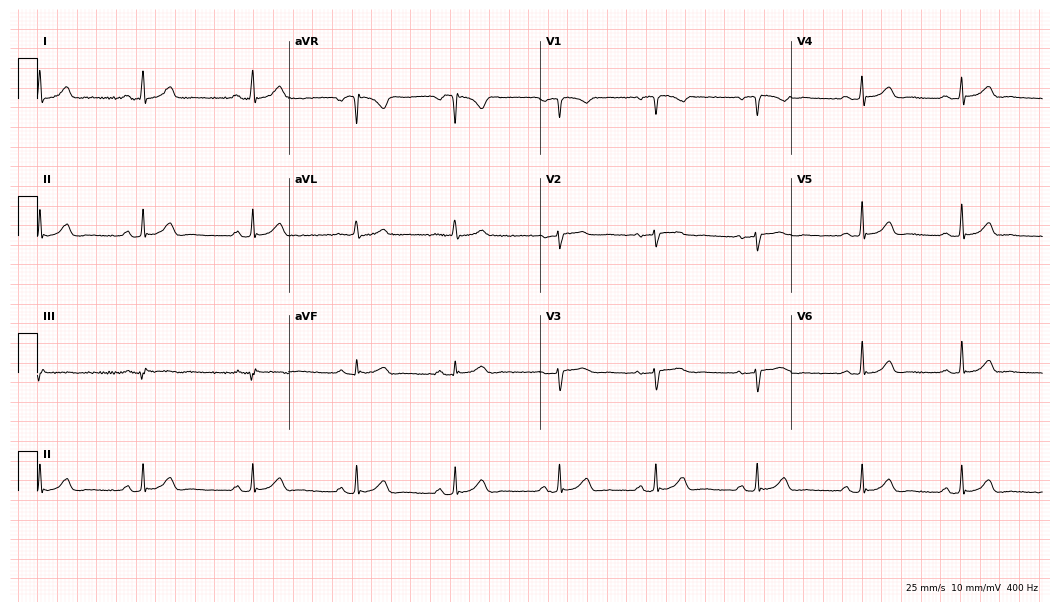
Standard 12-lead ECG recorded from a female patient, 34 years old. Read as a normal ECG.